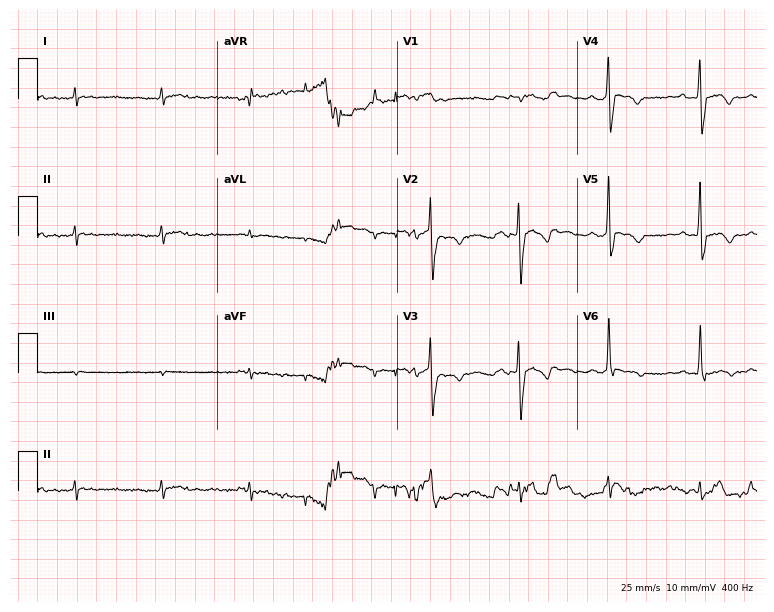
Resting 12-lead electrocardiogram. Patient: a 65-year-old female. None of these six findings is recorded: first-degree AV block, right bundle branch block, left bundle branch block, sinus bradycardia, atrial fibrillation, sinus tachycardia. Other findings, if any, are not listed.